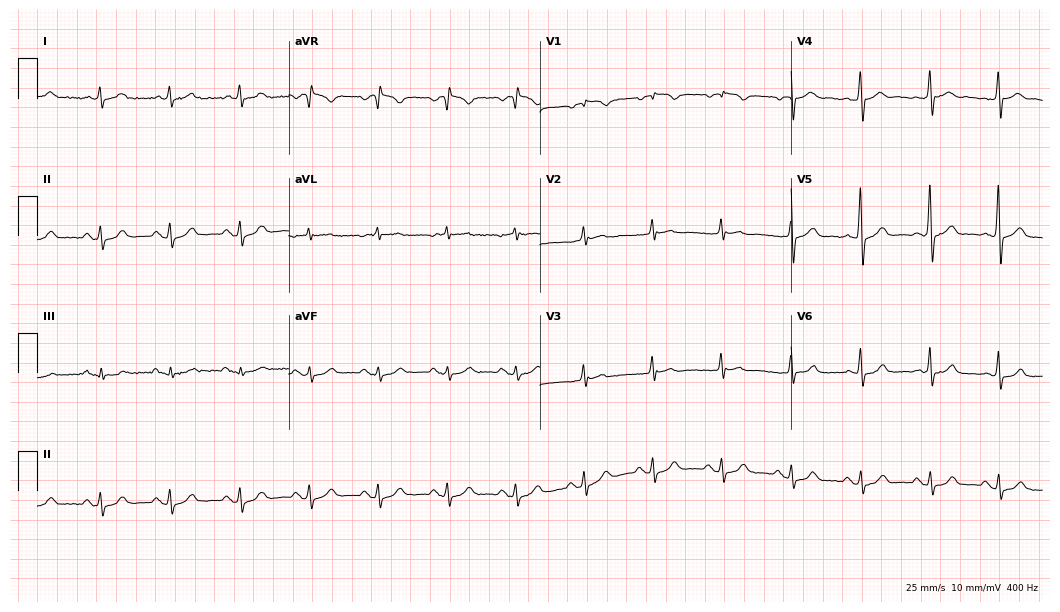
12-lead ECG from a male, 72 years old. Labelled as a normal ECG.